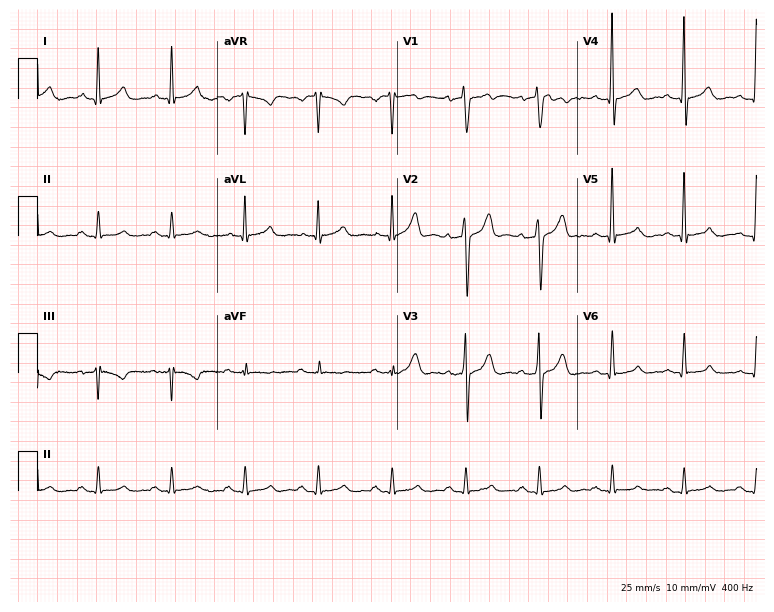
Standard 12-lead ECG recorded from a 51-year-old male patient (7.3-second recording at 400 Hz). Read as a normal ECG.